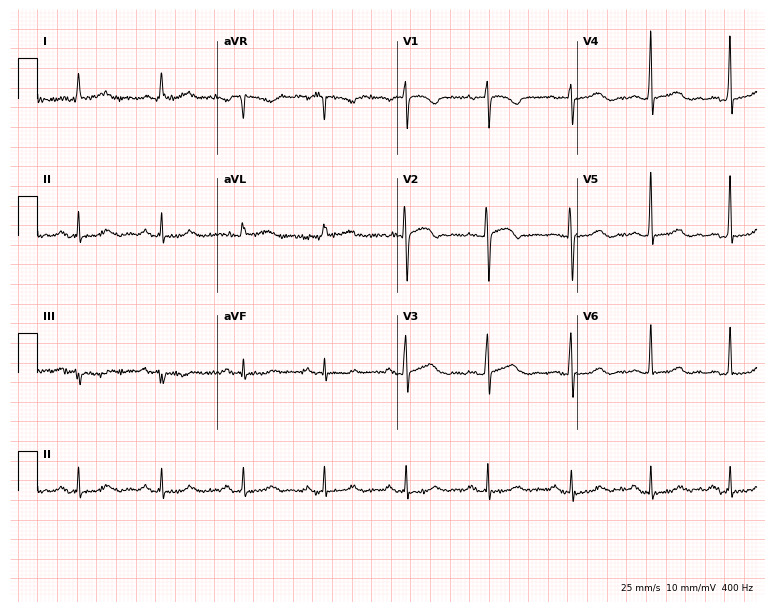
Resting 12-lead electrocardiogram. Patient: a 70-year-old female. Read as a normal ECG.